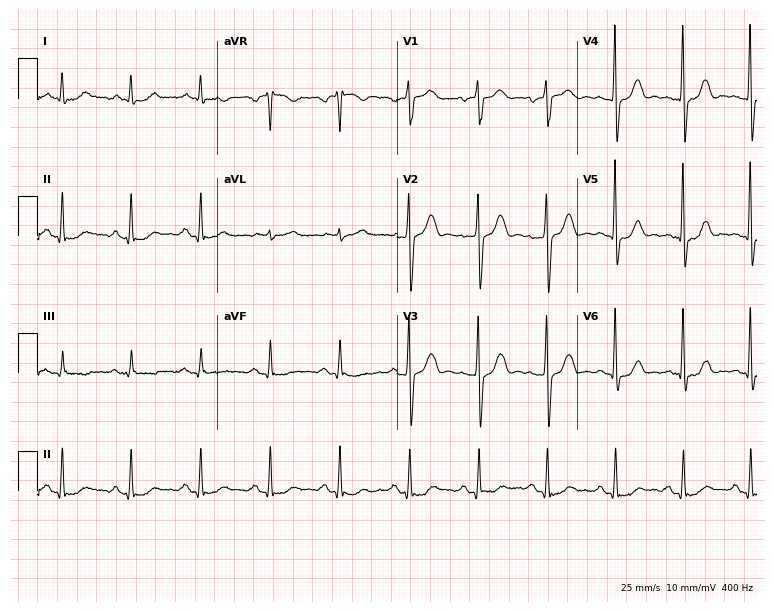
12-lead ECG from a 49-year-old man (7.3-second recording at 400 Hz). No first-degree AV block, right bundle branch block (RBBB), left bundle branch block (LBBB), sinus bradycardia, atrial fibrillation (AF) or sinus tachycardia recorded for this tracing.